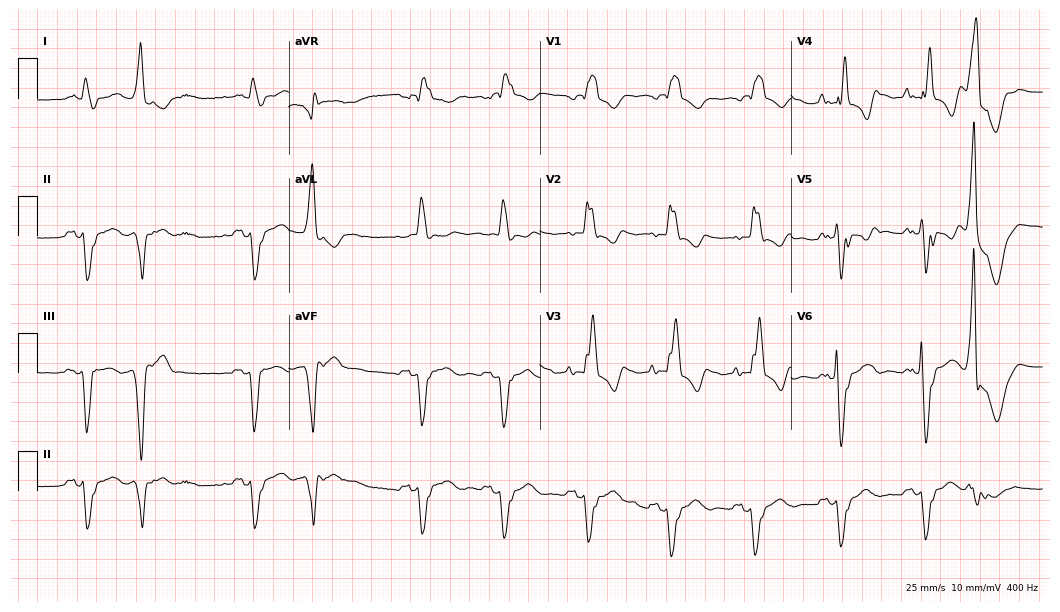
ECG (10.2-second recording at 400 Hz) — an 85-year-old male patient. Findings include right bundle branch block.